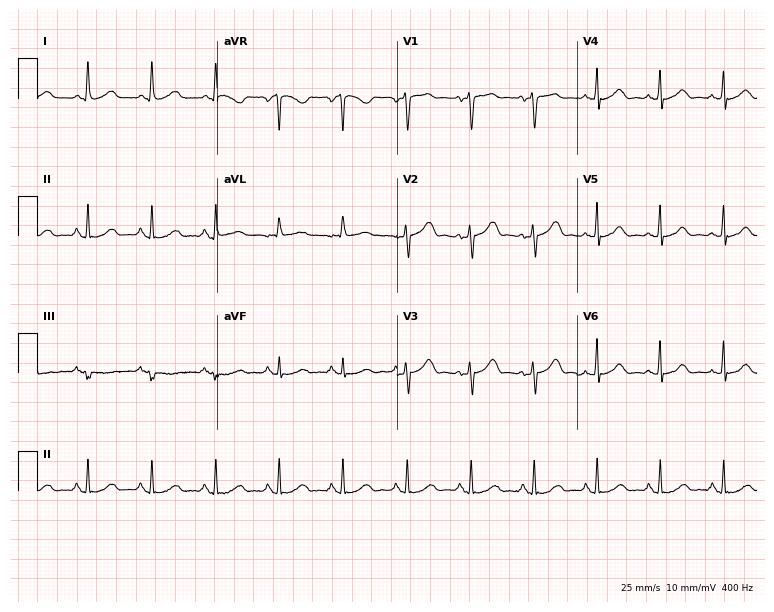
Electrocardiogram (7.3-second recording at 400 Hz), a female patient, 79 years old. Overall reading on record: normal ECG.